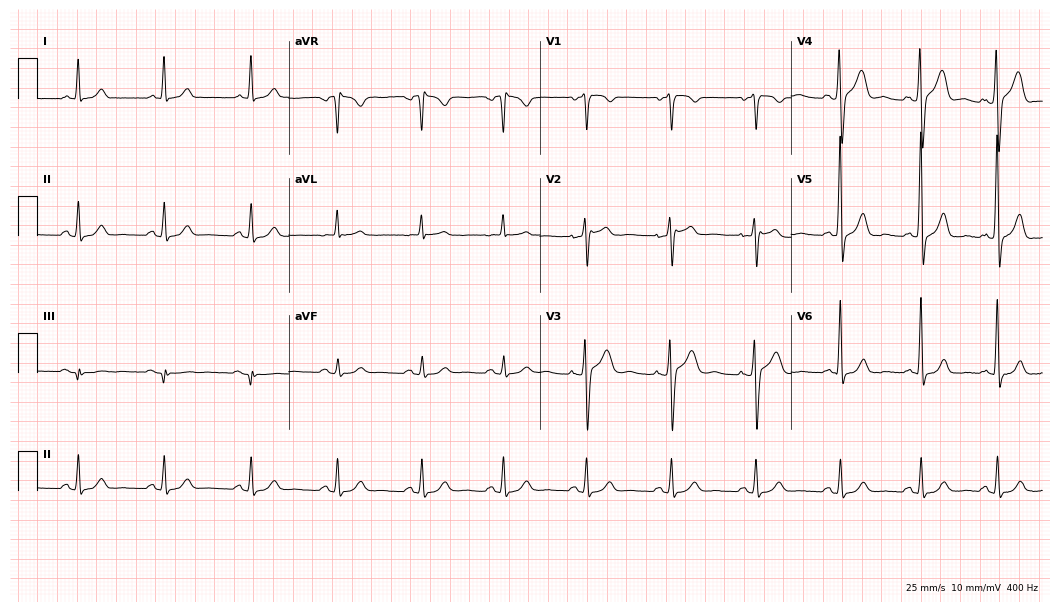
ECG (10.2-second recording at 400 Hz) — a male patient, 55 years old. Screened for six findings — first-degree AV block, right bundle branch block (RBBB), left bundle branch block (LBBB), sinus bradycardia, atrial fibrillation (AF), sinus tachycardia — none is recorded. Other findings, if any, are not listed.